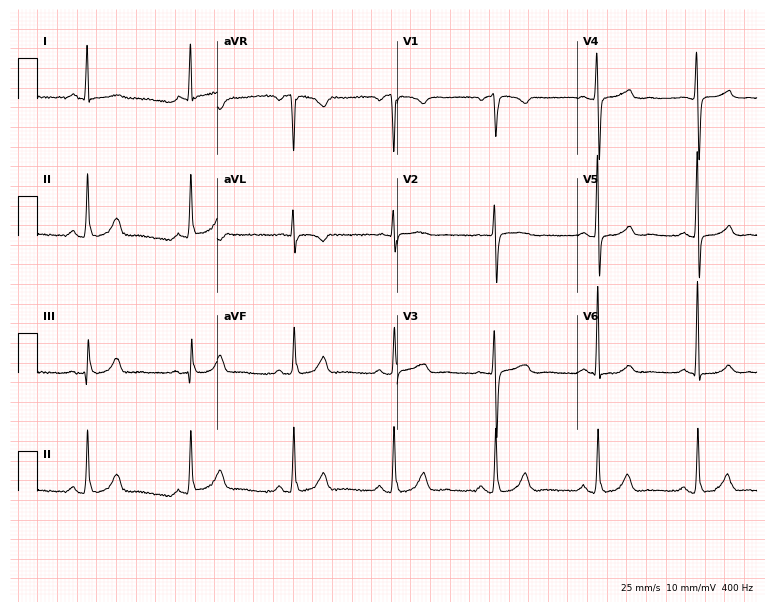
Resting 12-lead electrocardiogram (7.3-second recording at 400 Hz). Patient: a woman, 57 years old. None of these six findings is recorded: first-degree AV block, right bundle branch block, left bundle branch block, sinus bradycardia, atrial fibrillation, sinus tachycardia. Only these six findings were labelled.